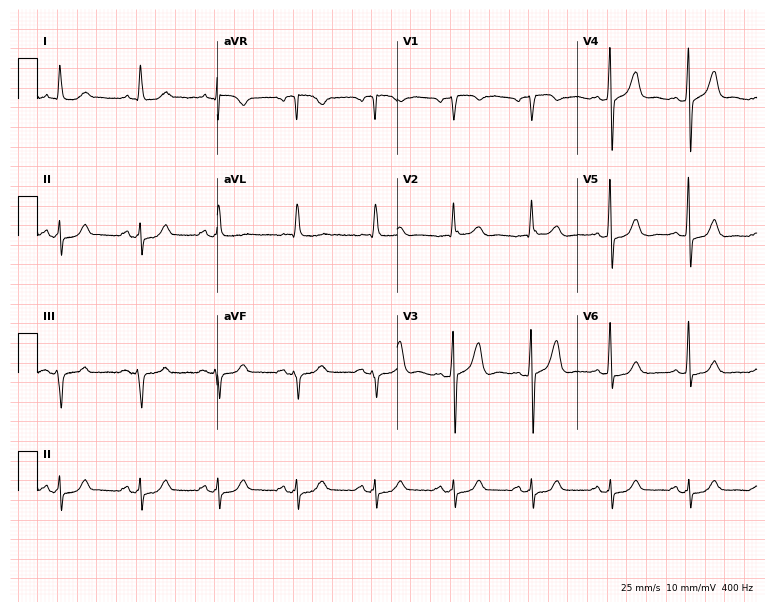
12-lead ECG from a male, 78 years old (7.3-second recording at 400 Hz). No first-degree AV block, right bundle branch block, left bundle branch block, sinus bradycardia, atrial fibrillation or sinus tachycardia recorded for this tracing. Other findings, if any, are not listed.